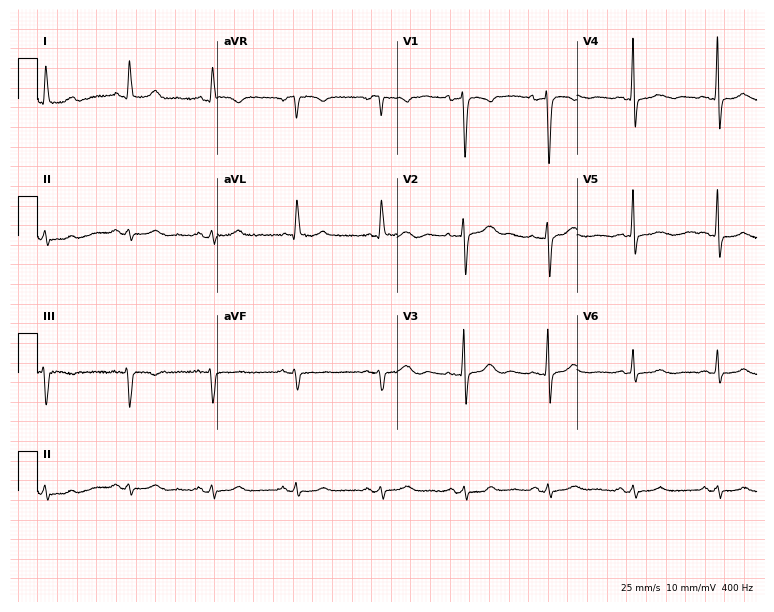
Electrocardiogram (7.3-second recording at 400 Hz), a female patient, 57 years old. Of the six screened findings (first-degree AV block, right bundle branch block (RBBB), left bundle branch block (LBBB), sinus bradycardia, atrial fibrillation (AF), sinus tachycardia), none is recorded.